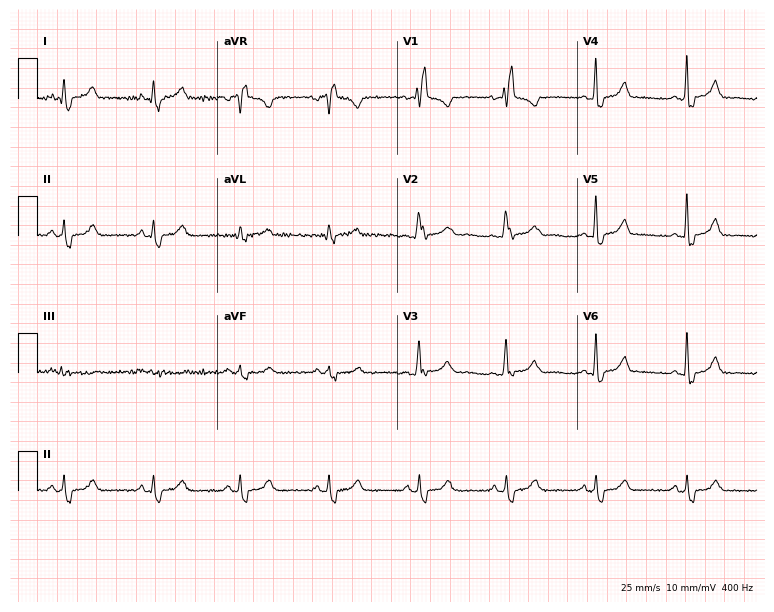
12-lead ECG from a female, 74 years old. Findings include right bundle branch block.